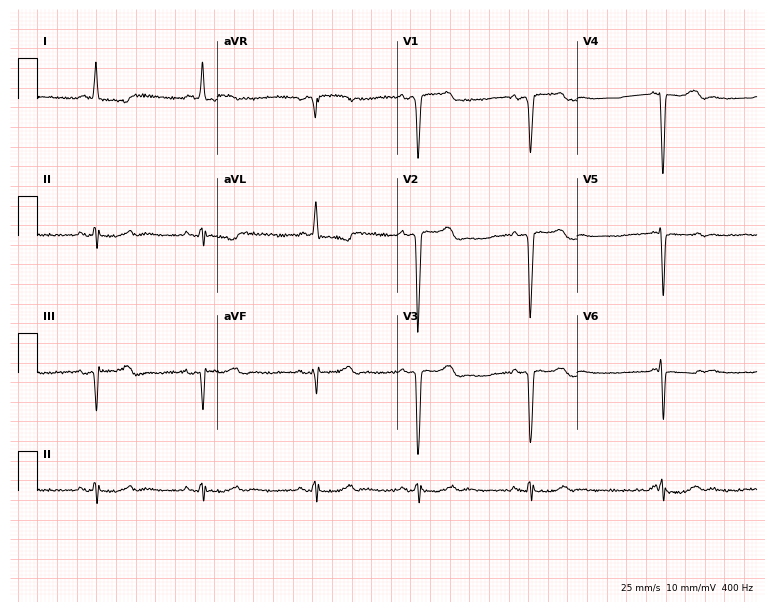
Standard 12-lead ECG recorded from a 78-year-old female patient (7.3-second recording at 400 Hz). None of these six findings is recorded: first-degree AV block, right bundle branch block, left bundle branch block, sinus bradycardia, atrial fibrillation, sinus tachycardia. Only these six findings were labelled.